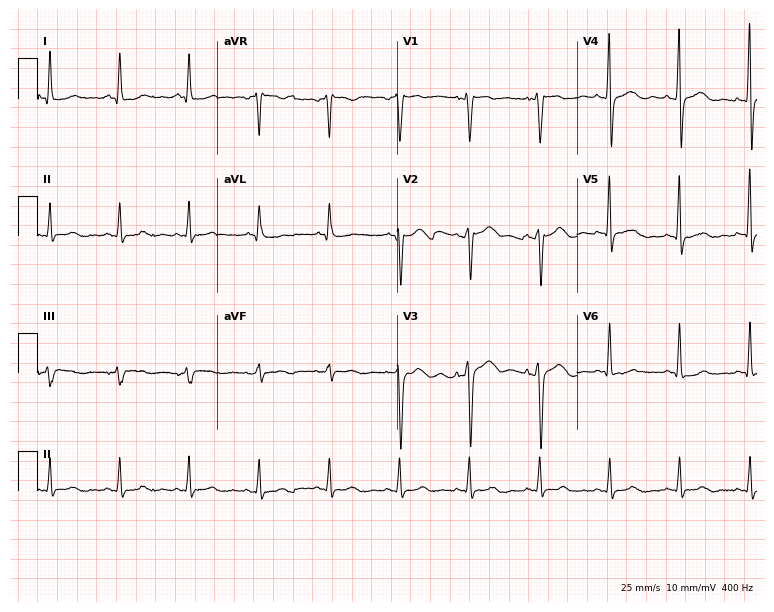
12-lead ECG from a male, 49 years old. Recorded interpretation: within normal limits.